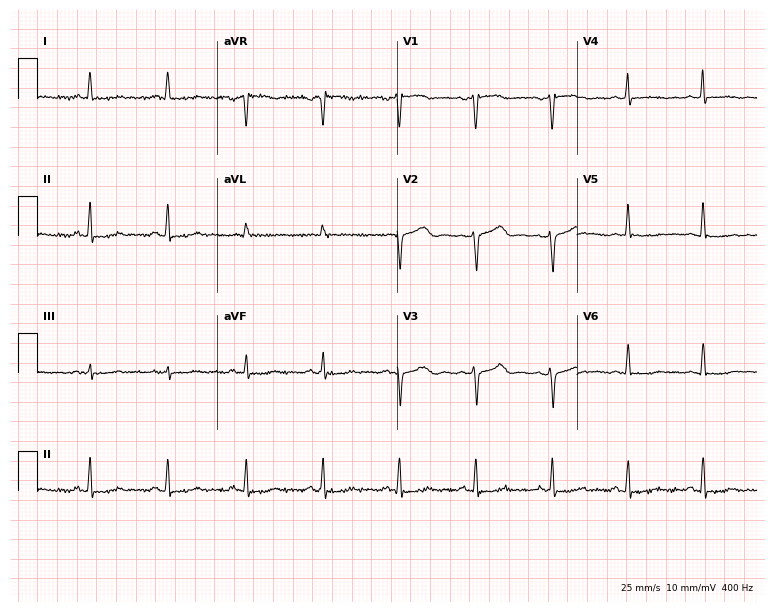
Standard 12-lead ECG recorded from a 57-year-old woman. None of these six findings is recorded: first-degree AV block, right bundle branch block (RBBB), left bundle branch block (LBBB), sinus bradycardia, atrial fibrillation (AF), sinus tachycardia.